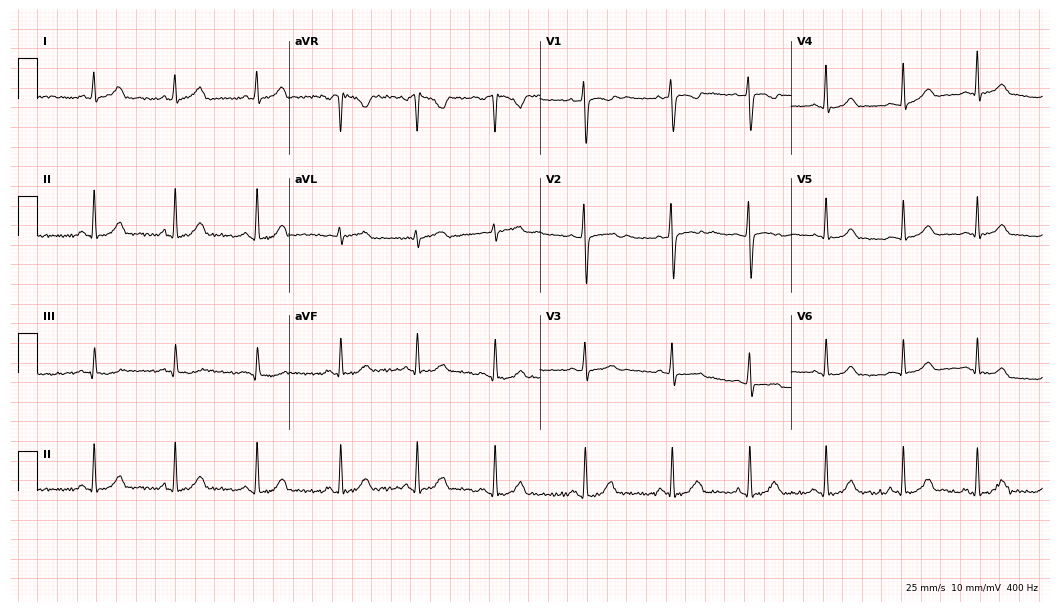
ECG (10.2-second recording at 400 Hz) — a female, 20 years old. Screened for six findings — first-degree AV block, right bundle branch block (RBBB), left bundle branch block (LBBB), sinus bradycardia, atrial fibrillation (AF), sinus tachycardia — none is recorded. Findings outside these six are not listed.